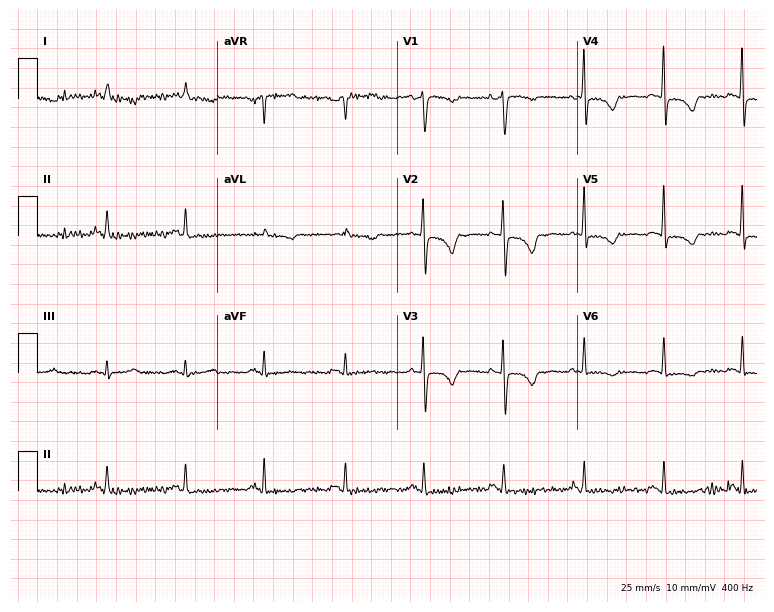
12-lead ECG from a female patient, 38 years old. Screened for six findings — first-degree AV block, right bundle branch block, left bundle branch block, sinus bradycardia, atrial fibrillation, sinus tachycardia — none is recorded. Only these six findings were labelled.